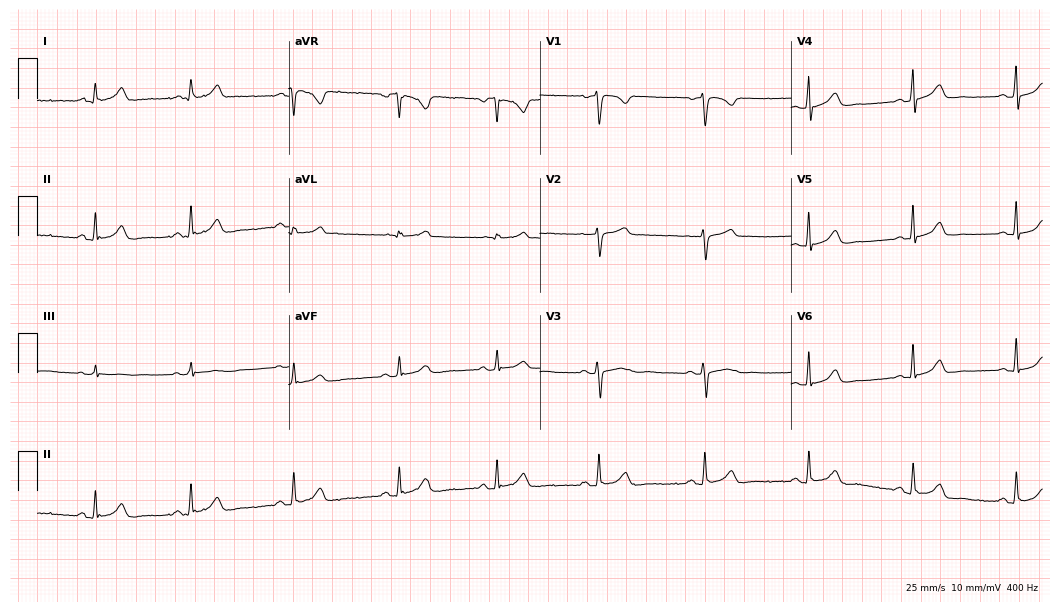
Standard 12-lead ECG recorded from a 34-year-old woman (10.2-second recording at 400 Hz). Read as a normal ECG.